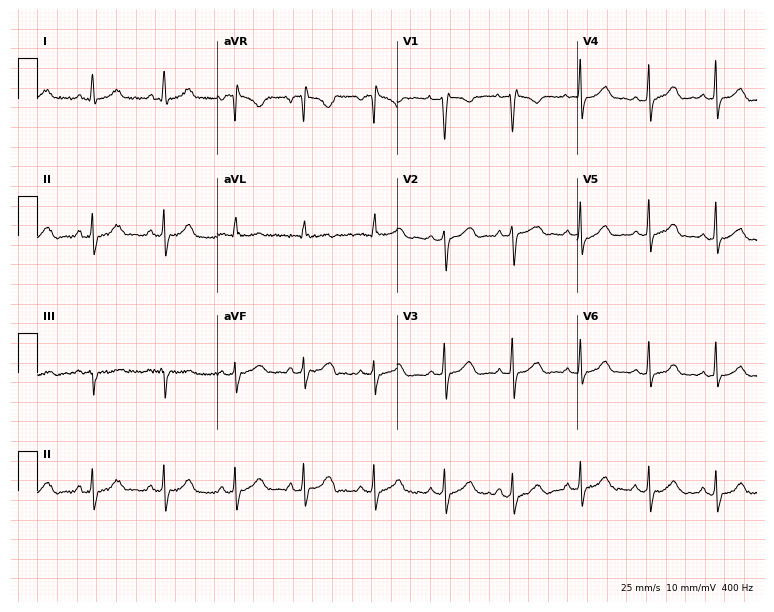
12-lead ECG from a female, 38 years old (7.3-second recording at 400 Hz). No first-degree AV block, right bundle branch block, left bundle branch block, sinus bradycardia, atrial fibrillation or sinus tachycardia recorded for this tracing. Only these six findings were labelled.